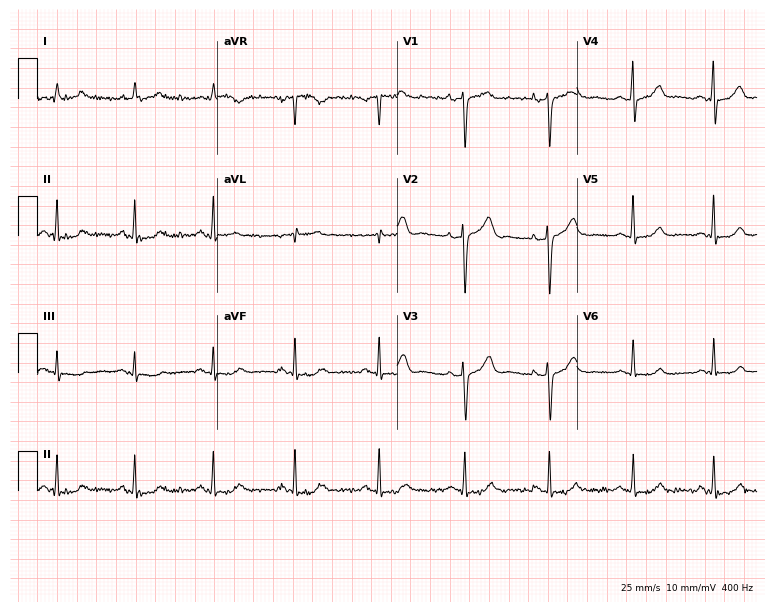
Electrocardiogram (7.3-second recording at 400 Hz), a female, 56 years old. Of the six screened findings (first-degree AV block, right bundle branch block (RBBB), left bundle branch block (LBBB), sinus bradycardia, atrial fibrillation (AF), sinus tachycardia), none is recorded. Other findings, if any, are not listed.